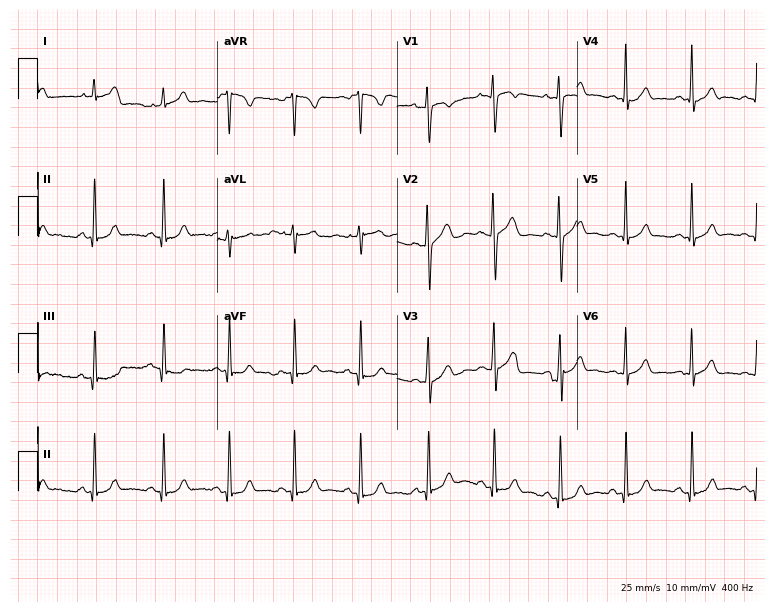
12-lead ECG from a female, 27 years old (7.3-second recording at 400 Hz). Recorded interpretation: within normal limits.